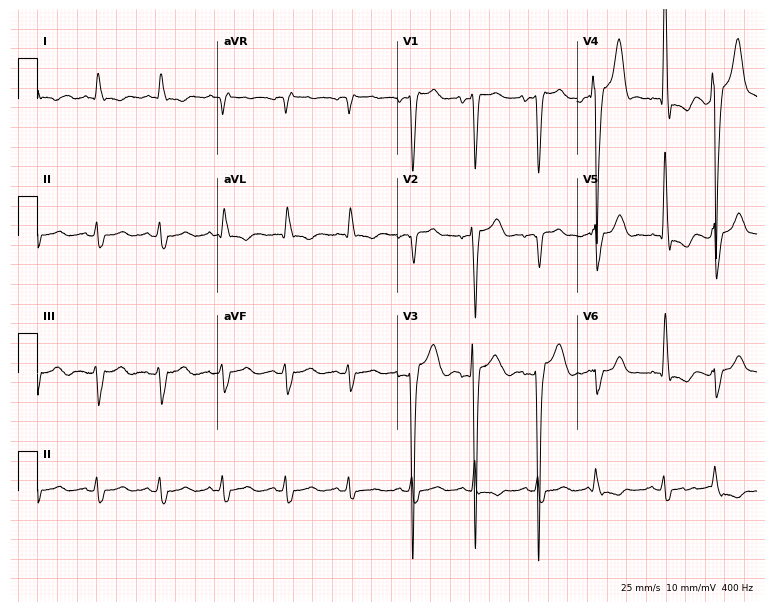
ECG (7.3-second recording at 400 Hz) — a 75-year-old male patient. Screened for six findings — first-degree AV block, right bundle branch block, left bundle branch block, sinus bradycardia, atrial fibrillation, sinus tachycardia — none is recorded.